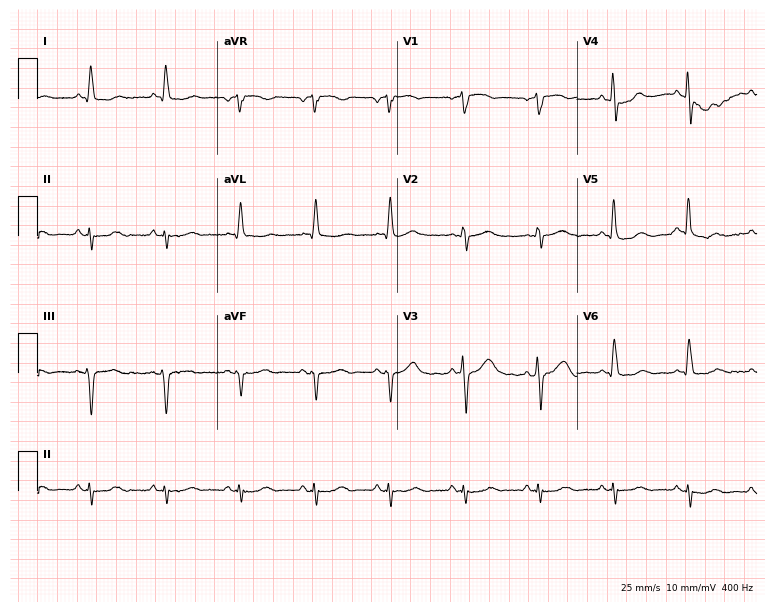
Electrocardiogram (7.3-second recording at 400 Hz), a male, 82 years old. Of the six screened findings (first-degree AV block, right bundle branch block, left bundle branch block, sinus bradycardia, atrial fibrillation, sinus tachycardia), none is recorded. Other findings, if any, are not listed.